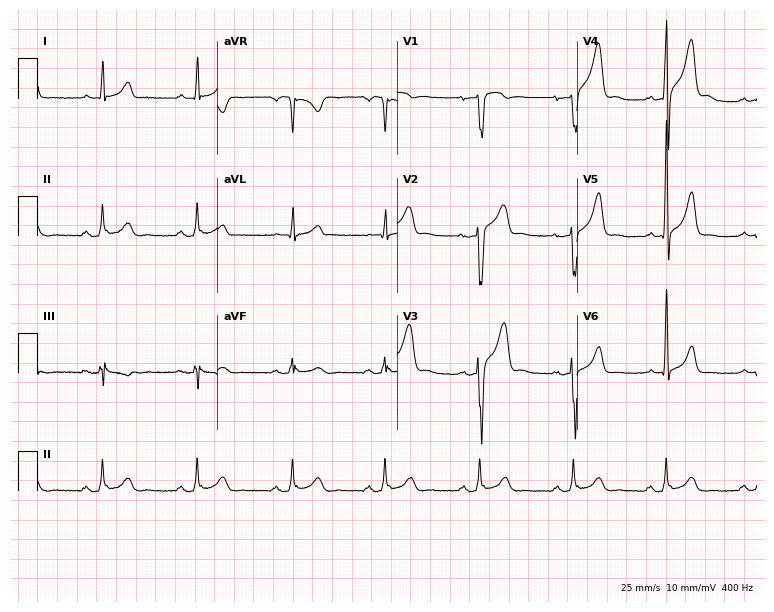
12-lead ECG from a man, 51 years old. Screened for six findings — first-degree AV block, right bundle branch block, left bundle branch block, sinus bradycardia, atrial fibrillation, sinus tachycardia — none is recorded.